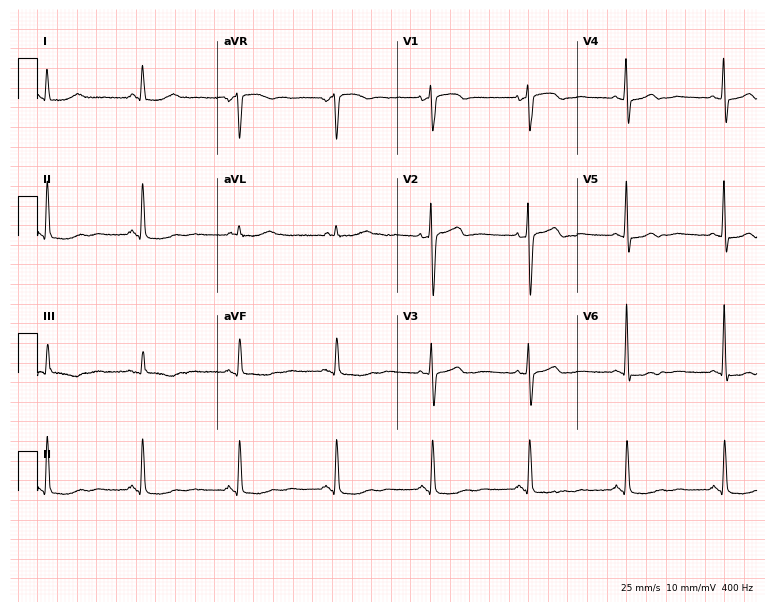
ECG (7.3-second recording at 400 Hz) — a woman, 35 years old. Labelled as a normal ECG.